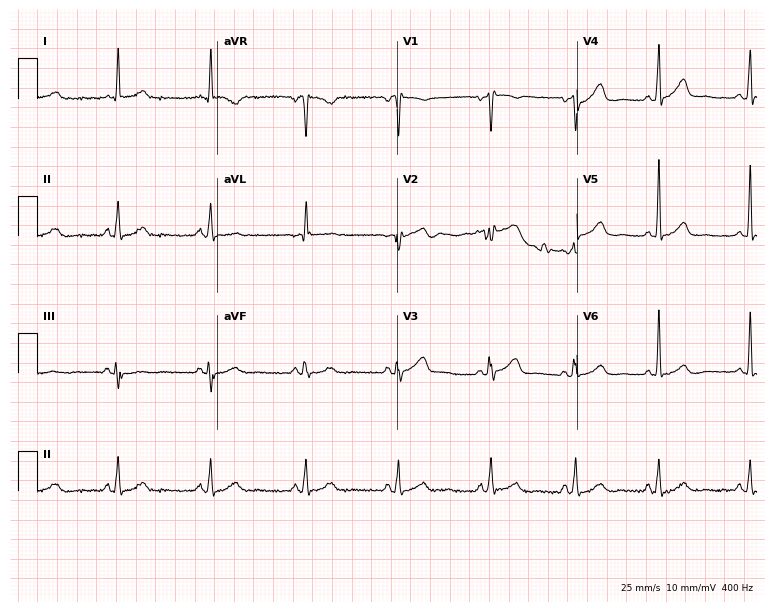
ECG — a 61-year-old woman. Labelled as a normal ECG.